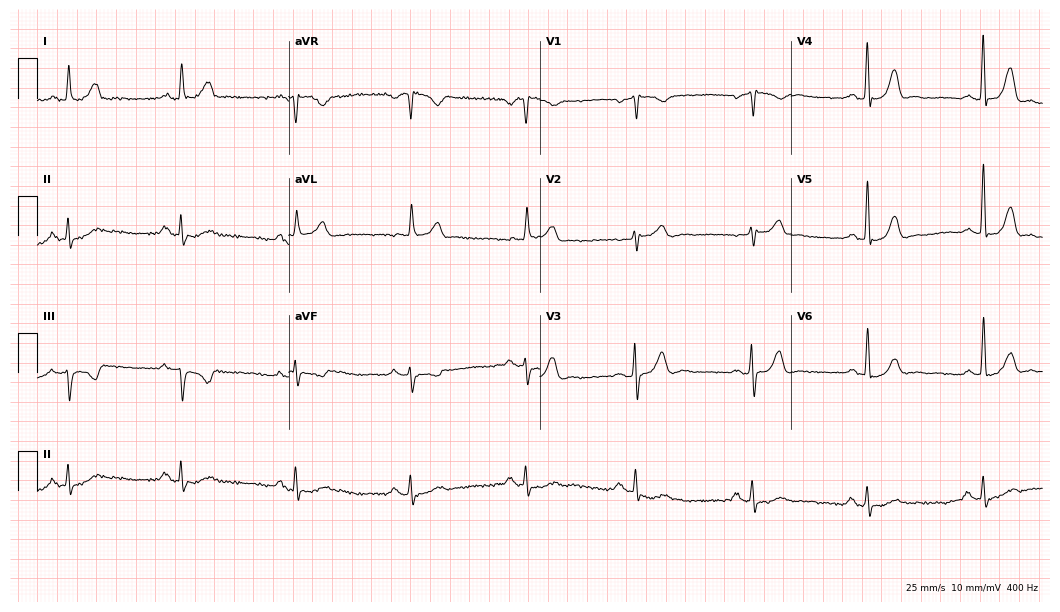
ECG — a 76-year-old man. Screened for six findings — first-degree AV block, right bundle branch block, left bundle branch block, sinus bradycardia, atrial fibrillation, sinus tachycardia — none is recorded. Other findings, if any, are not listed.